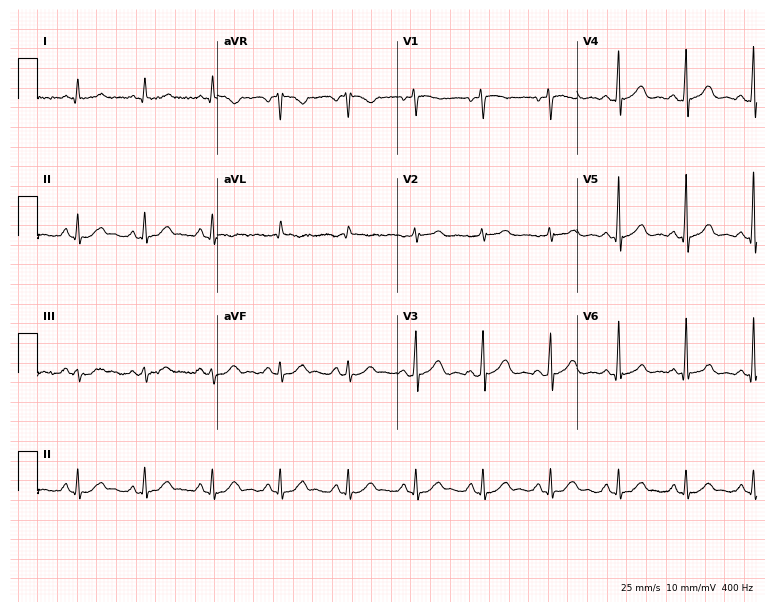
Standard 12-lead ECG recorded from a man, 48 years old (7.3-second recording at 400 Hz). Read as a normal ECG.